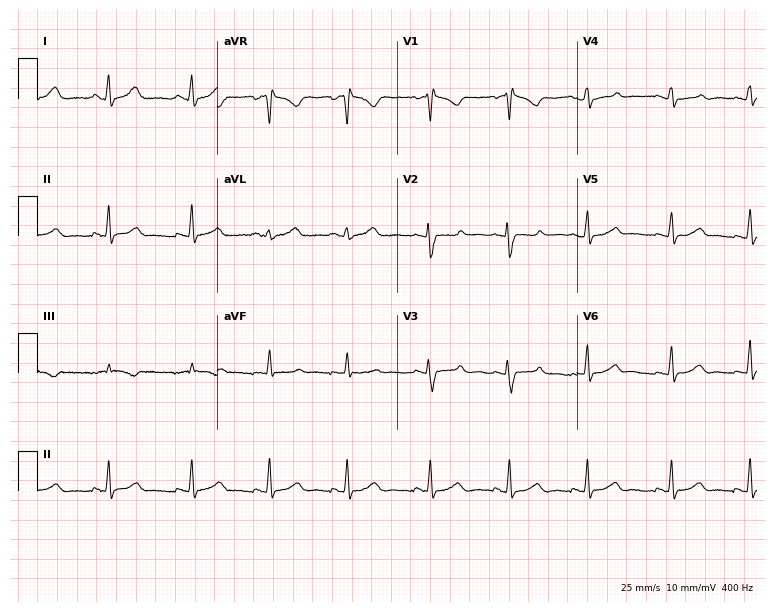
Electrocardiogram (7.3-second recording at 400 Hz), an 18-year-old woman. Of the six screened findings (first-degree AV block, right bundle branch block (RBBB), left bundle branch block (LBBB), sinus bradycardia, atrial fibrillation (AF), sinus tachycardia), none is recorded.